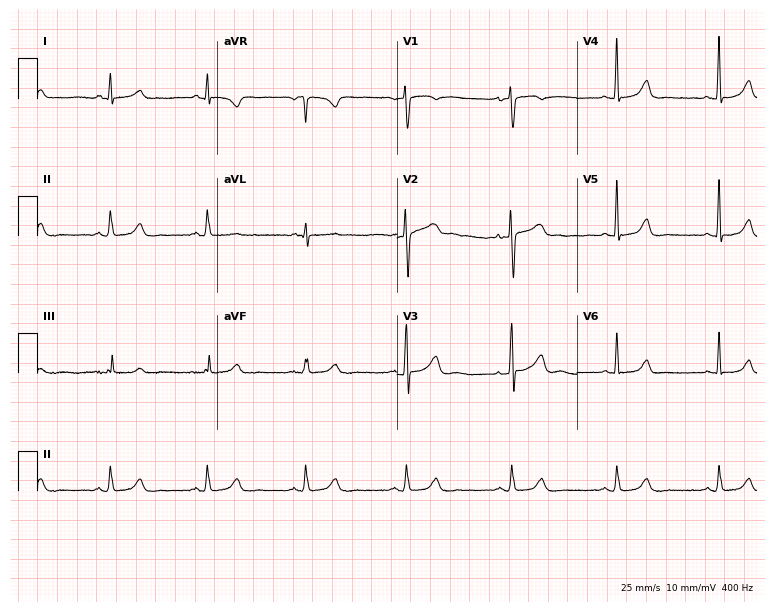
Standard 12-lead ECG recorded from a 42-year-old female. Read as a normal ECG.